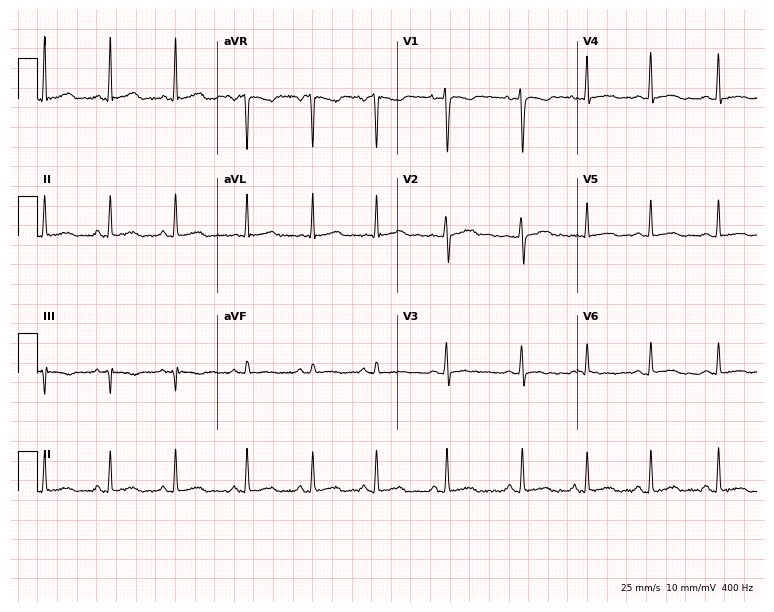
12-lead ECG from a female, 30 years old. No first-degree AV block, right bundle branch block, left bundle branch block, sinus bradycardia, atrial fibrillation or sinus tachycardia recorded for this tracing. Other findings, if any, are not listed.